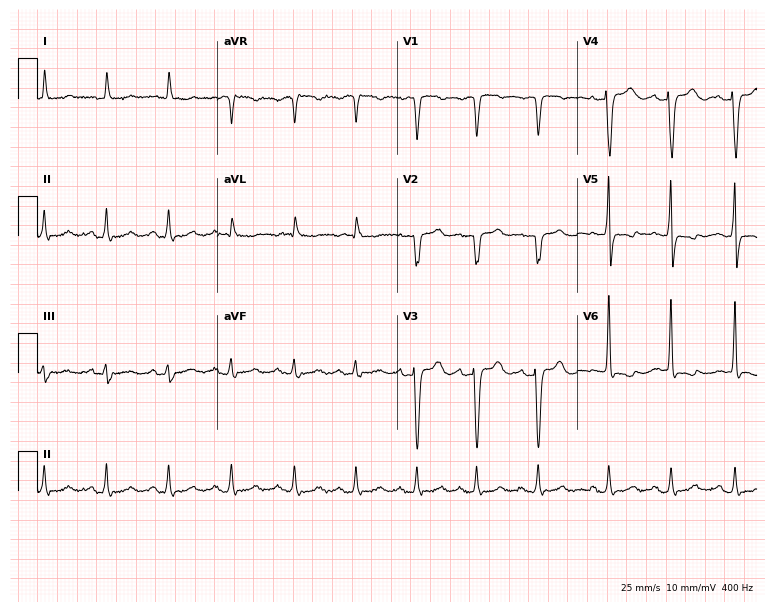
12-lead ECG (7.3-second recording at 400 Hz) from a female, 64 years old. Screened for six findings — first-degree AV block, right bundle branch block, left bundle branch block, sinus bradycardia, atrial fibrillation, sinus tachycardia — none is recorded. Findings outside these six are not listed.